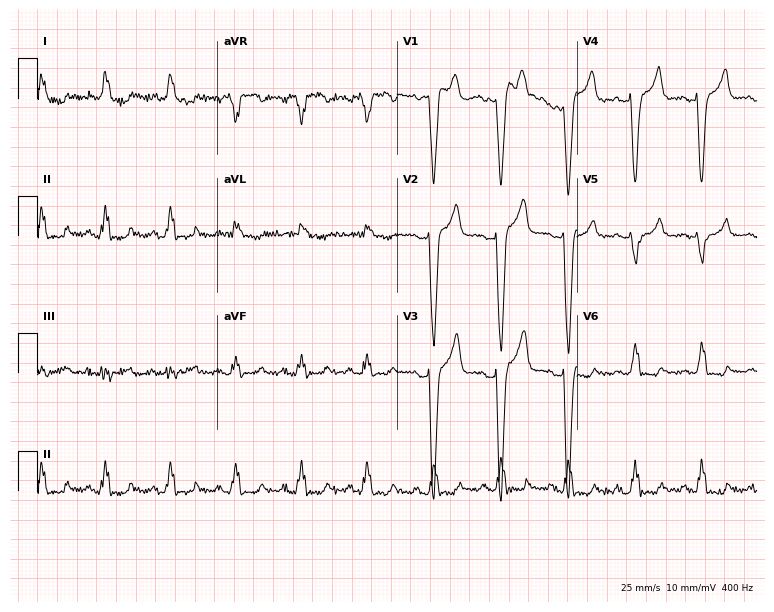
Resting 12-lead electrocardiogram. Patient: a male, 64 years old. The tracing shows left bundle branch block.